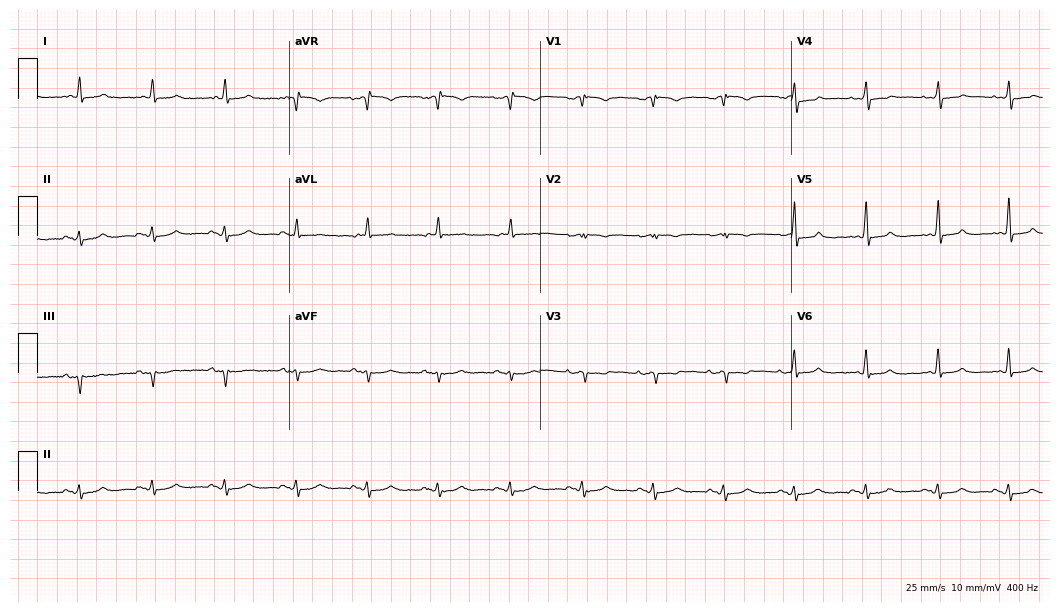
Standard 12-lead ECG recorded from a man, 81 years old (10.2-second recording at 400 Hz). None of these six findings is recorded: first-degree AV block, right bundle branch block, left bundle branch block, sinus bradycardia, atrial fibrillation, sinus tachycardia.